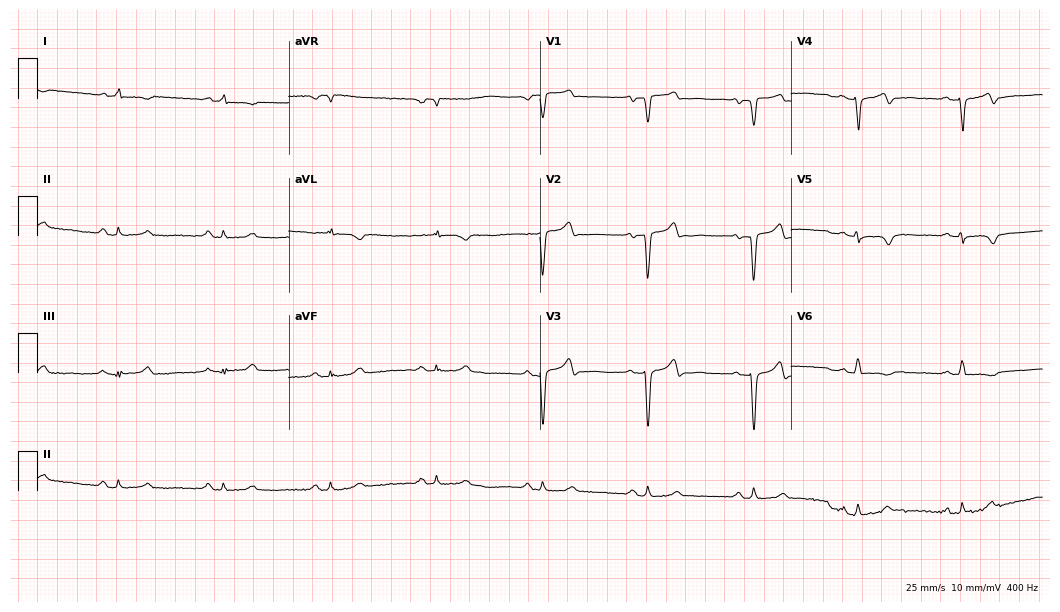
Electrocardiogram (10.2-second recording at 400 Hz), a male patient, 80 years old. Of the six screened findings (first-degree AV block, right bundle branch block (RBBB), left bundle branch block (LBBB), sinus bradycardia, atrial fibrillation (AF), sinus tachycardia), none is recorded.